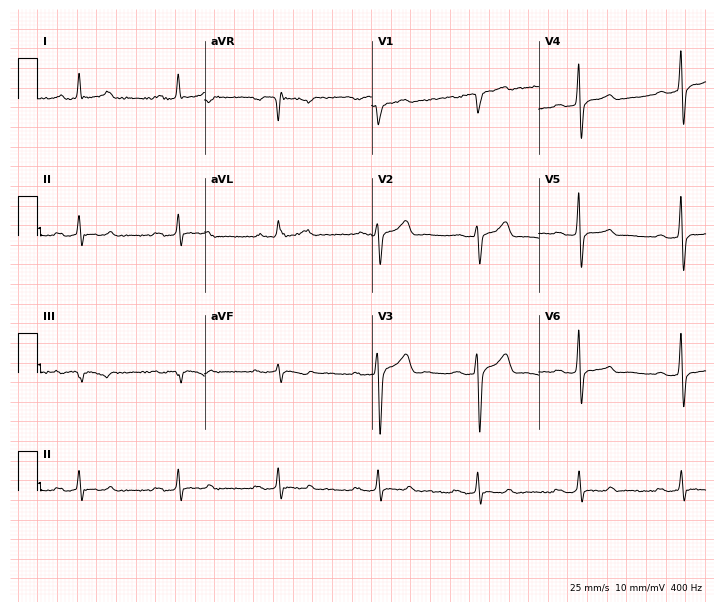
Standard 12-lead ECG recorded from a 46-year-old male patient (6.8-second recording at 400 Hz). None of these six findings is recorded: first-degree AV block, right bundle branch block, left bundle branch block, sinus bradycardia, atrial fibrillation, sinus tachycardia.